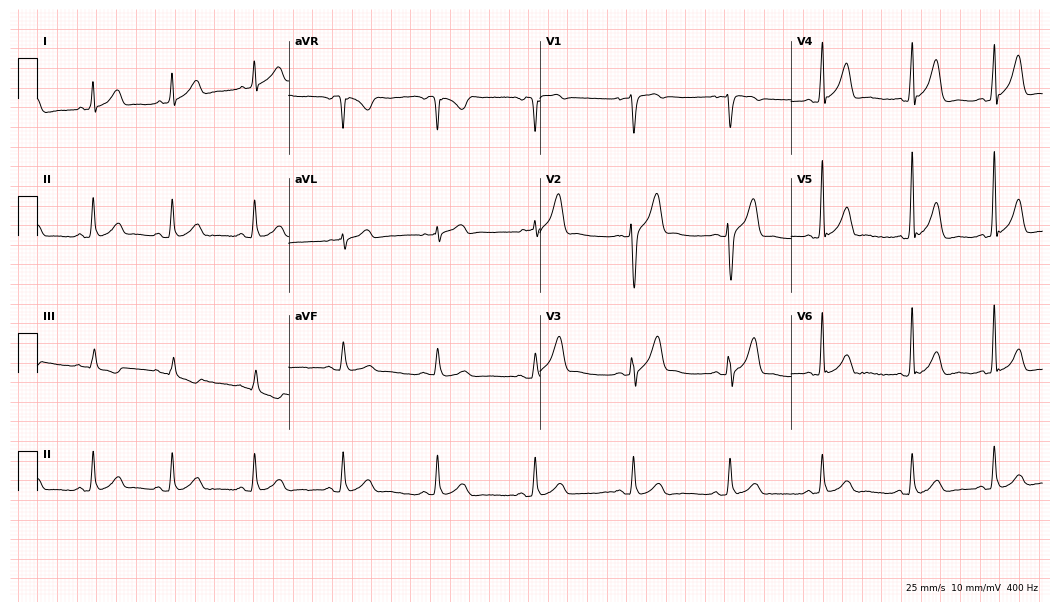
12-lead ECG from a 34-year-old male (10.2-second recording at 400 Hz). Recorded interpretation: within normal limits.